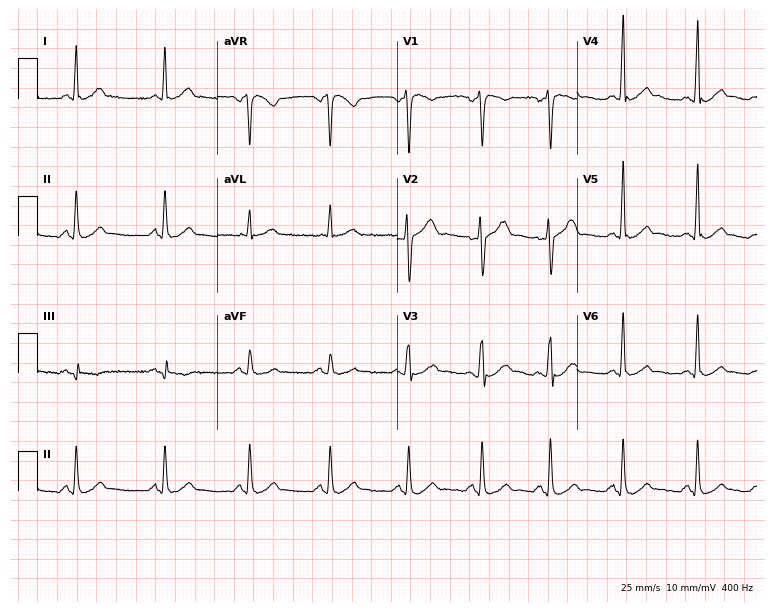
Electrocardiogram (7.3-second recording at 400 Hz), a male, 33 years old. Overall reading on record: normal ECG.